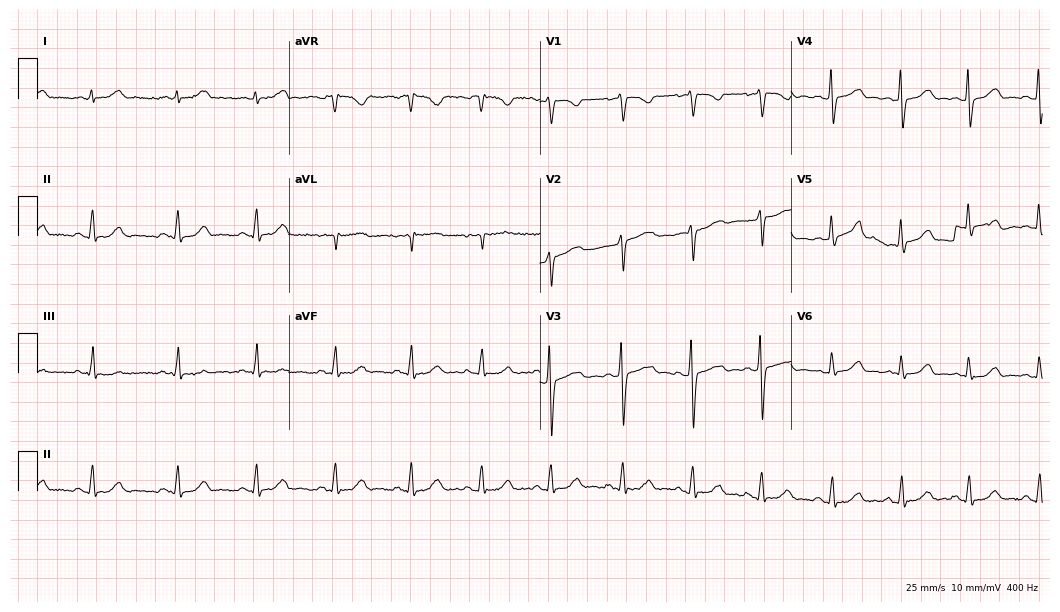
Electrocardiogram, a 26-year-old female. Overall reading on record: normal ECG.